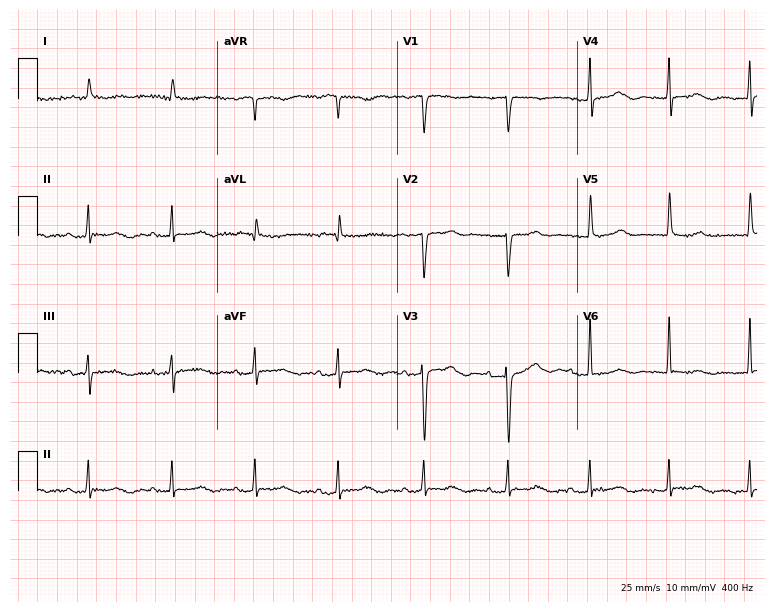
Electrocardiogram, an 88-year-old female. Overall reading on record: normal ECG.